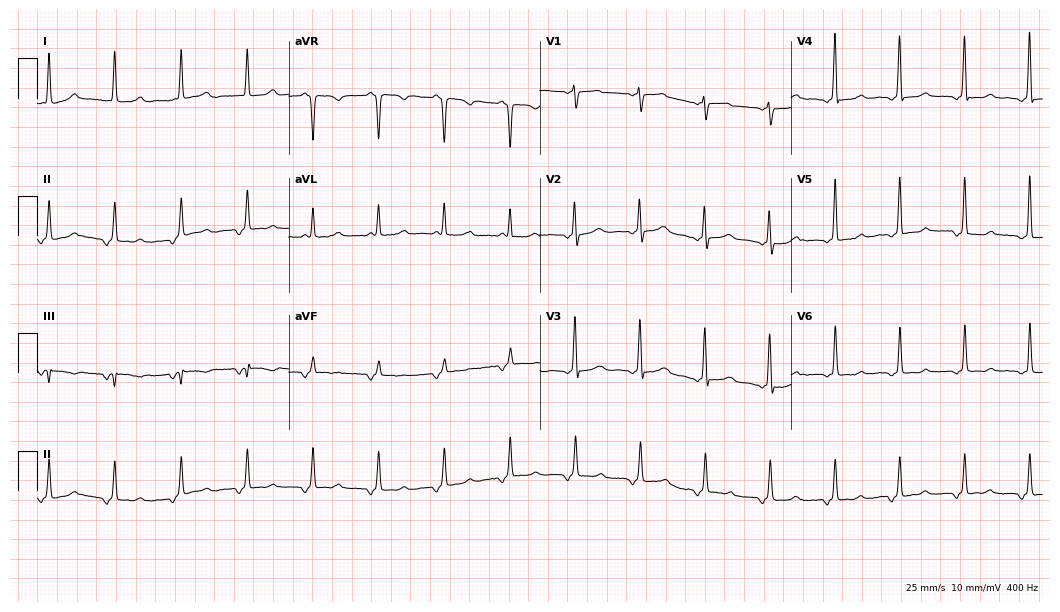
12-lead ECG from a 49-year-old female patient. Screened for six findings — first-degree AV block, right bundle branch block, left bundle branch block, sinus bradycardia, atrial fibrillation, sinus tachycardia — none is recorded. Findings outside these six are not listed.